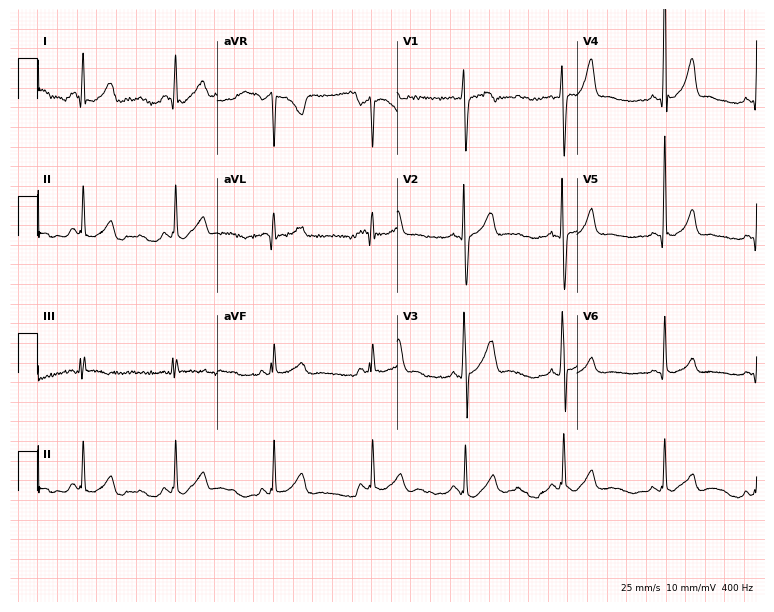
Standard 12-lead ECG recorded from a man, 21 years old (7.3-second recording at 400 Hz). Read as a normal ECG.